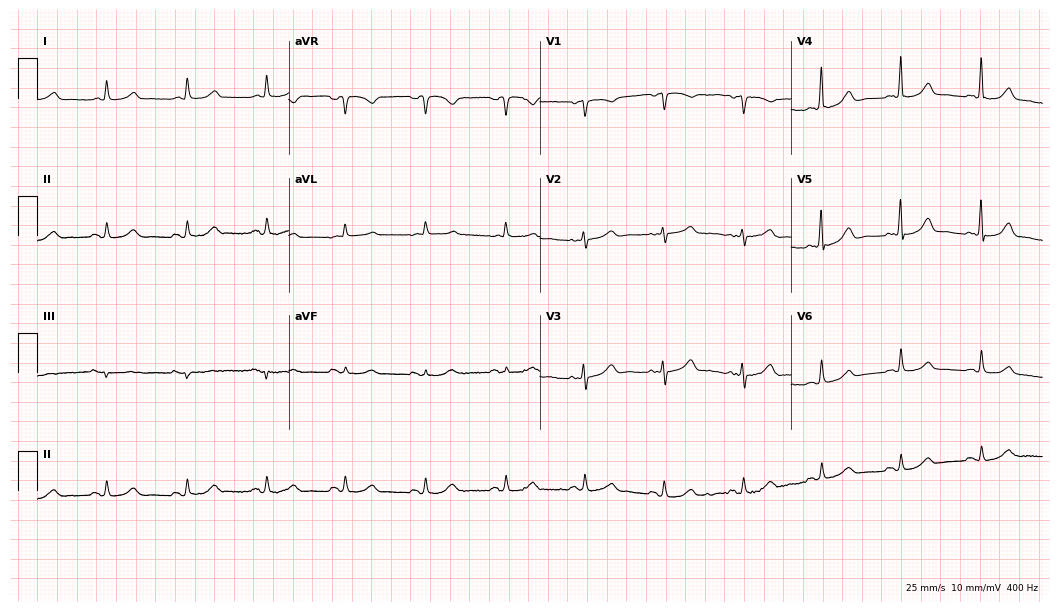
Standard 12-lead ECG recorded from a woman, 65 years old. None of these six findings is recorded: first-degree AV block, right bundle branch block, left bundle branch block, sinus bradycardia, atrial fibrillation, sinus tachycardia.